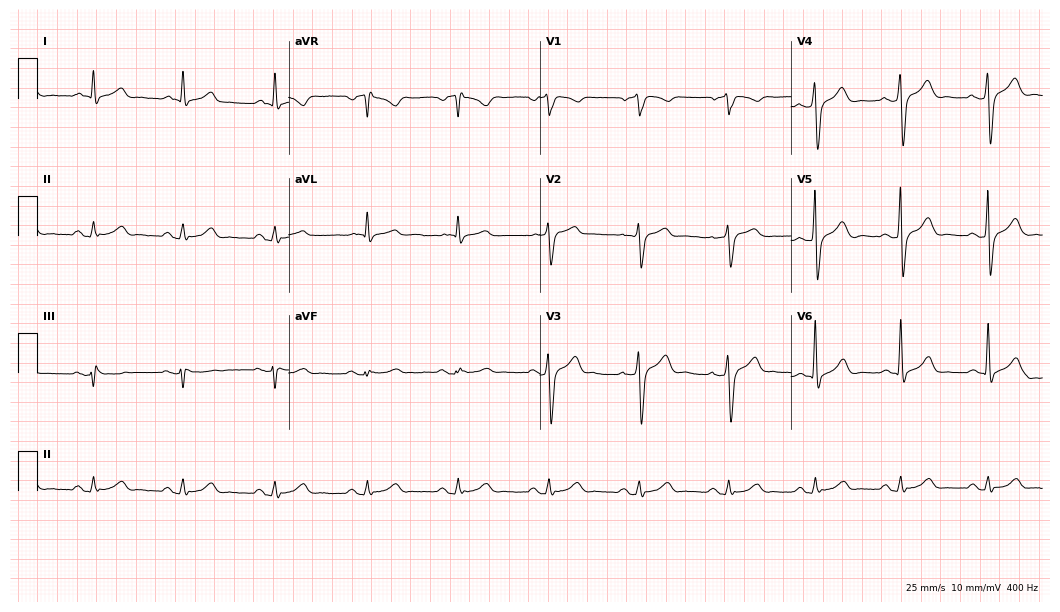
12-lead ECG (10.2-second recording at 400 Hz) from a man, 65 years old. Screened for six findings — first-degree AV block, right bundle branch block, left bundle branch block, sinus bradycardia, atrial fibrillation, sinus tachycardia — none is recorded.